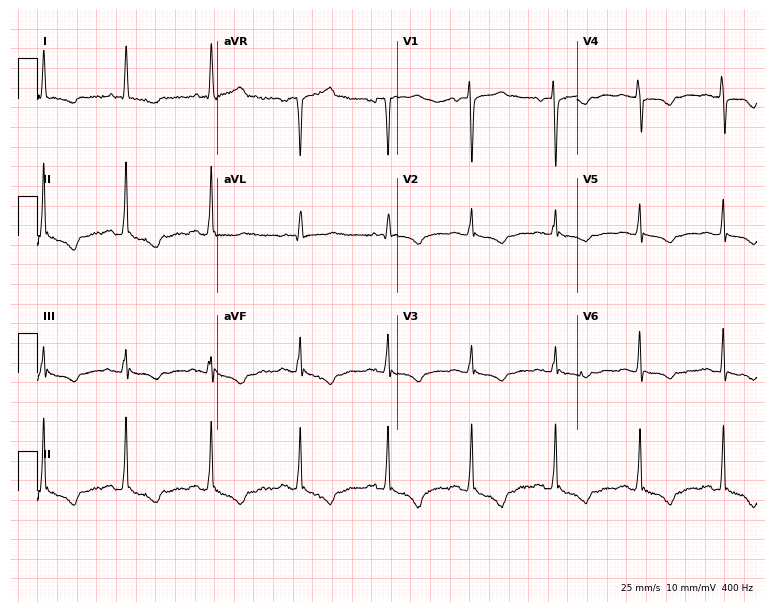
12-lead ECG from a 76-year-old female (7.3-second recording at 400 Hz). No first-degree AV block, right bundle branch block (RBBB), left bundle branch block (LBBB), sinus bradycardia, atrial fibrillation (AF) or sinus tachycardia recorded for this tracing.